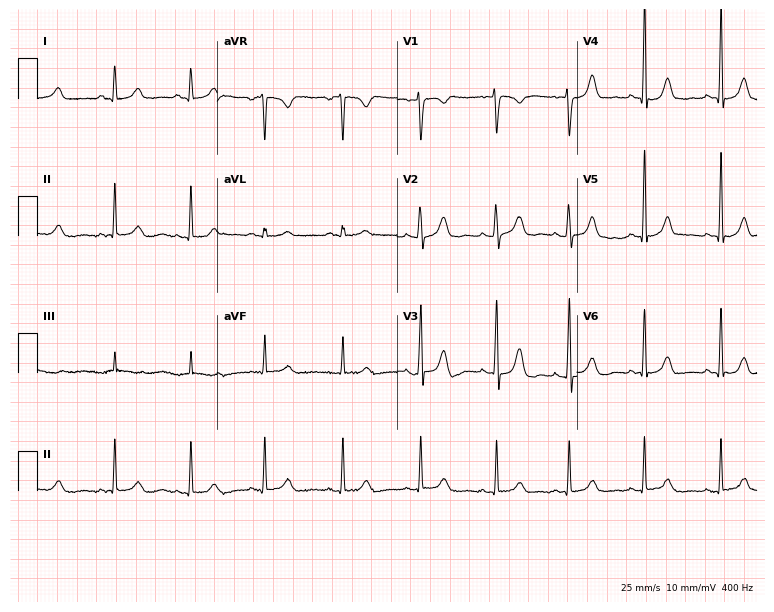
12-lead ECG (7.3-second recording at 400 Hz) from a 21-year-old woman. Labelled as a normal ECG.